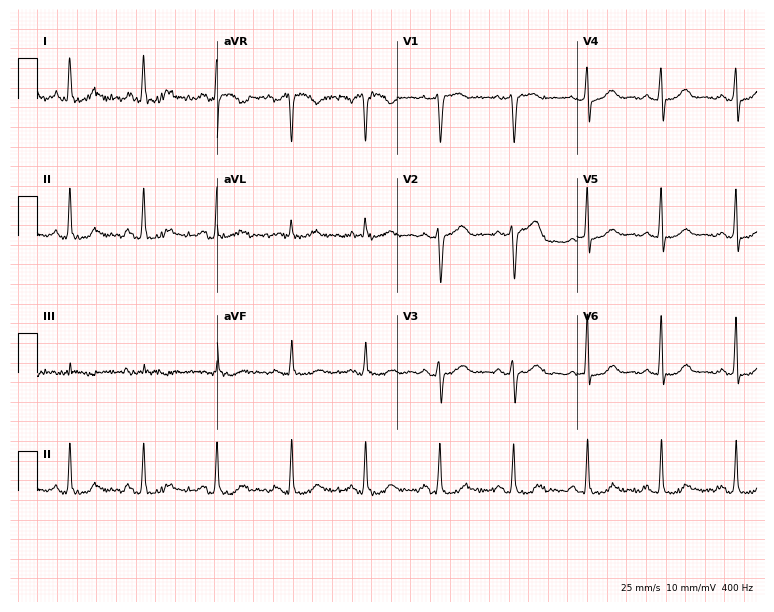
Electrocardiogram, a female, 66 years old. Overall reading on record: normal ECG.